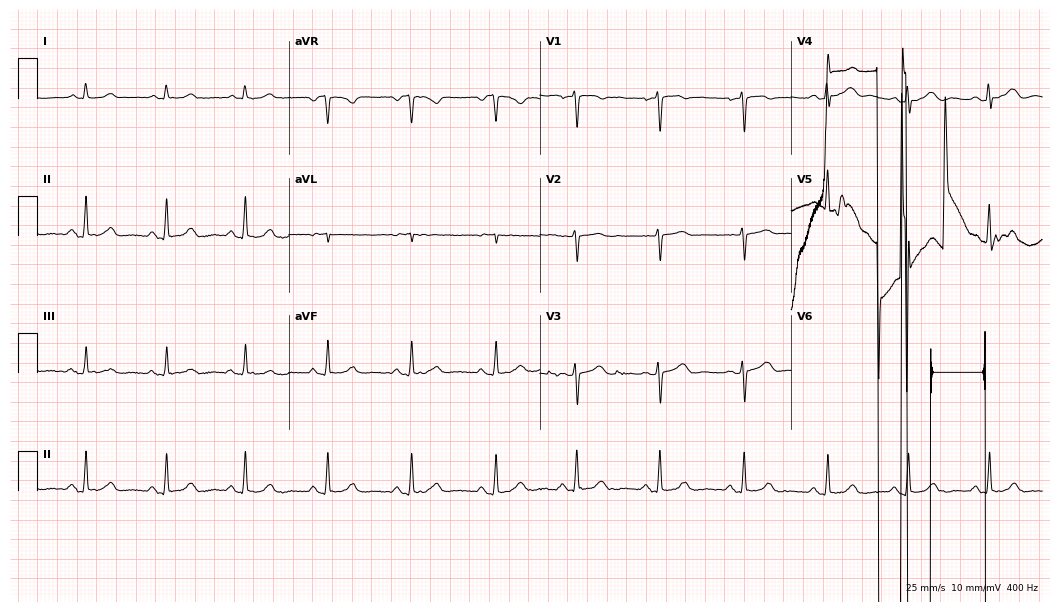
Standard 12-lead ECG recorded from a woman, 66 years old (10.2-second recording at 400 Hz). None of these six findings is recorded: first-degree AV block, right bundle branch block, left bundle branch block, sinus bradycardia, atrial fibrillation, sinus tachycardia. Findings outside these six are not listed.